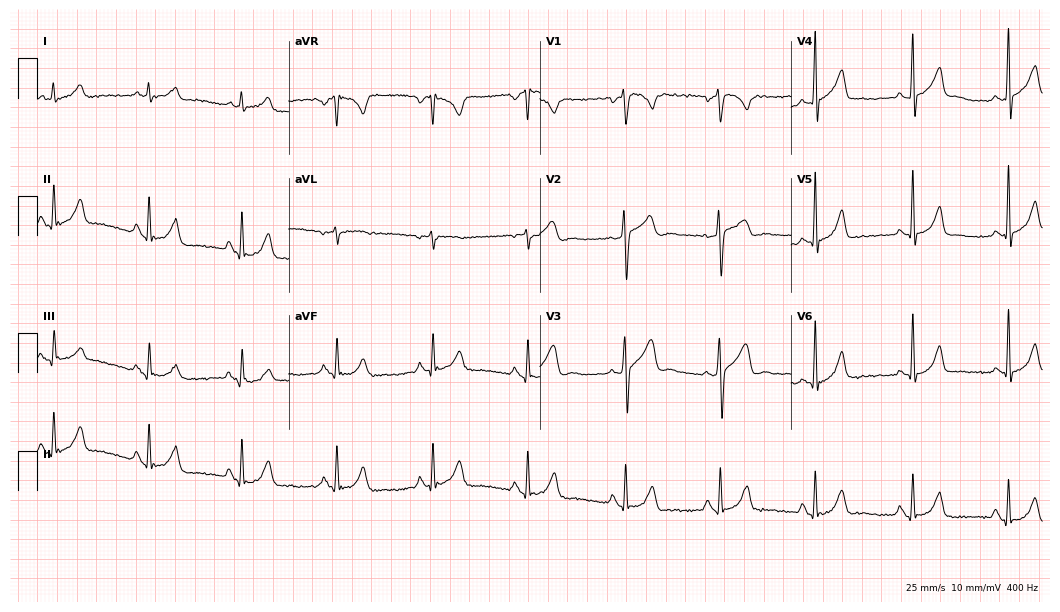
Resting 12-lead electrocardiogram. Patient: a male, 29 years old. None of these six findings is recorded: first-degree AV block, right bundle branch block, left bundle branch block, sinus bradycardia, atrial fibrillation, sinus tachycardia. Findings outside these six are not listed.